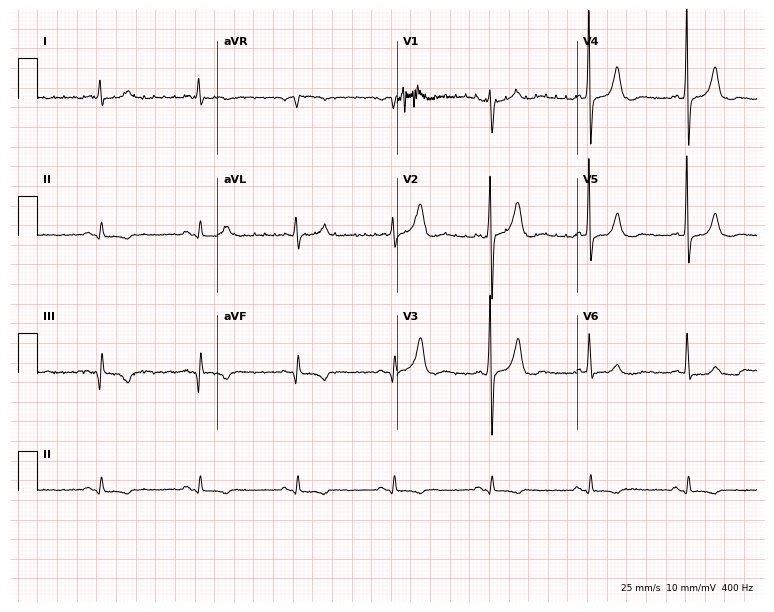
12-lead ECG from a 61-year-old man (7.3-second recording at 400 Hz). No first-degree AV block, right bundle branch block (RBBB), left bundle branch block (LBBB), sinus bradycardia, atrial fibrillation (AF) or sinus tachycardia recorded for this tracing.